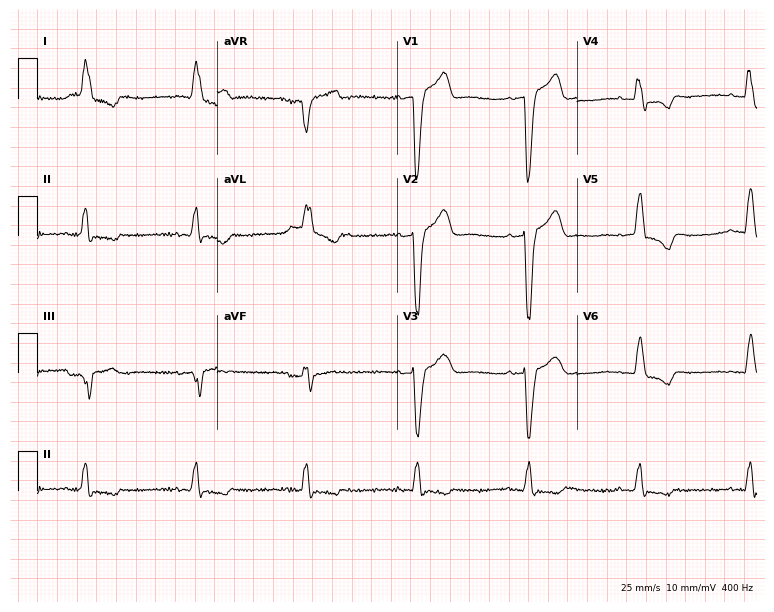
Electrocardiogram (7.3-second recording at 400 Hz), an 81-year-old woman. Of the six screened findings (first-degree AV block, right bundle branch block, left bundle branch block, sinus bradycardia, atrial fibrillation, sinus tachycardia), none is recorded.